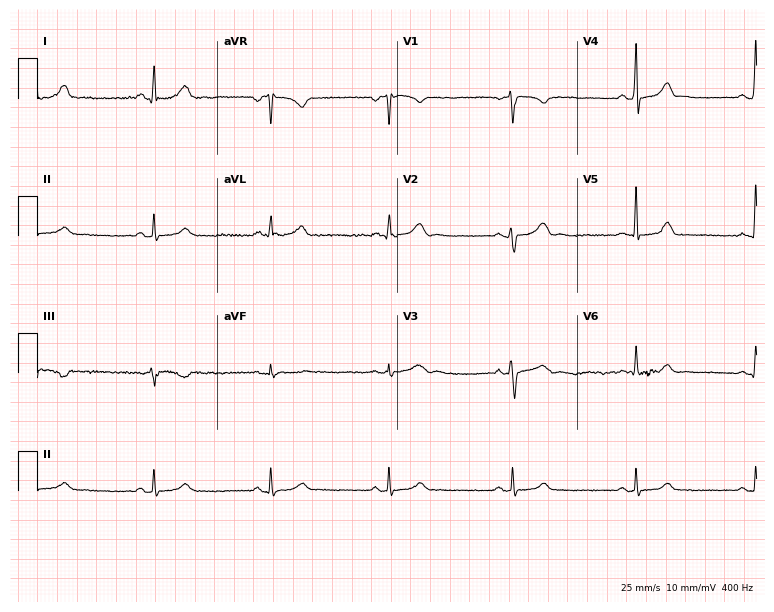
Resting 12-lead electrocardiogram. Patient: a male, 39 years old. None of these six findings is recorded: first-degree AV block, right bundle branch block, left bundle branch block, sinus bradycardia, atrial fibrillation, sinus tachycardia.